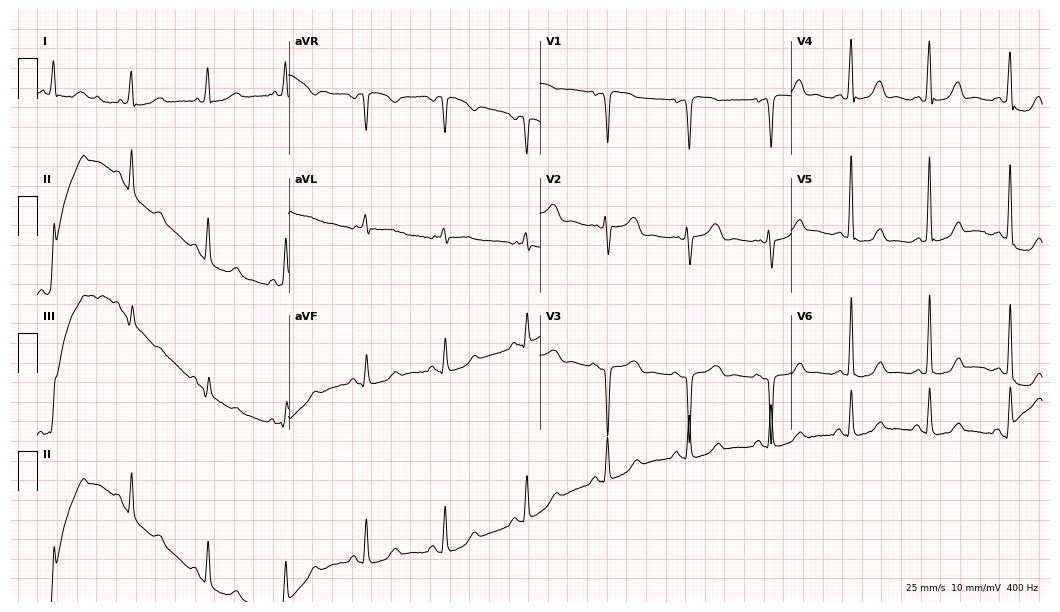
Standard 12-lead ECG recorded from a woman, 66 years old (10.2-second recording at 400 Hz). None of these six findings is recorded: first-degree AV block, right bundle branch block, left bundle branch block, sinus bradycardia, atrial fibrillation, sinus tachycardia.